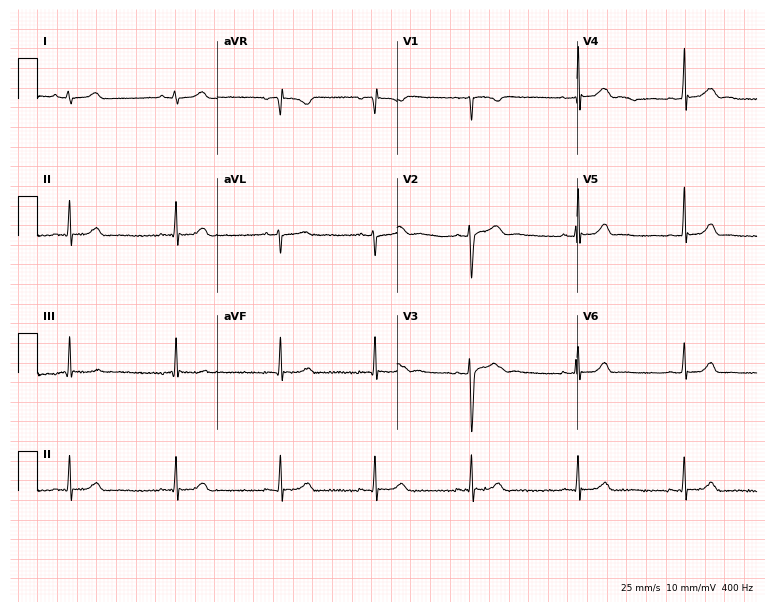
ECG (7.3-second recording at 400 Hz) — a 23-year-old woman. Labelled as a normal ECG.